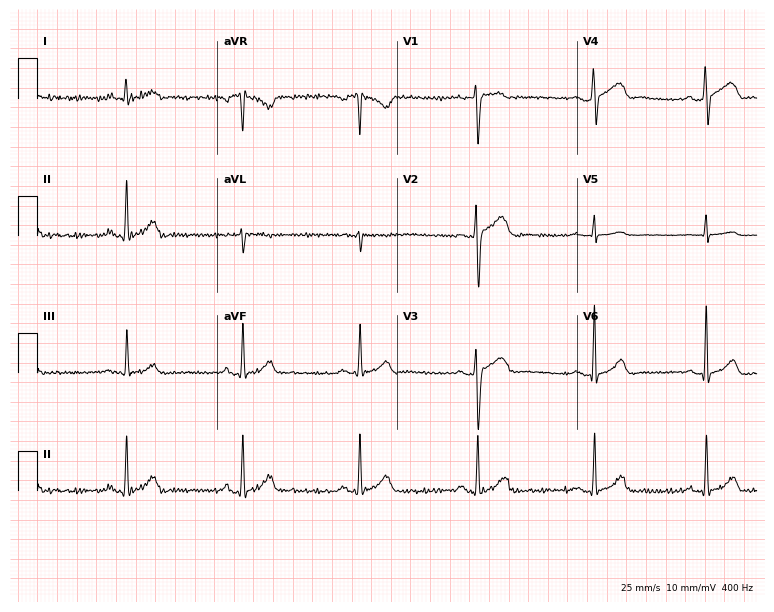
Electrocardiogram, a 48-year-old male patient. Overall reading on record: normal ECG.